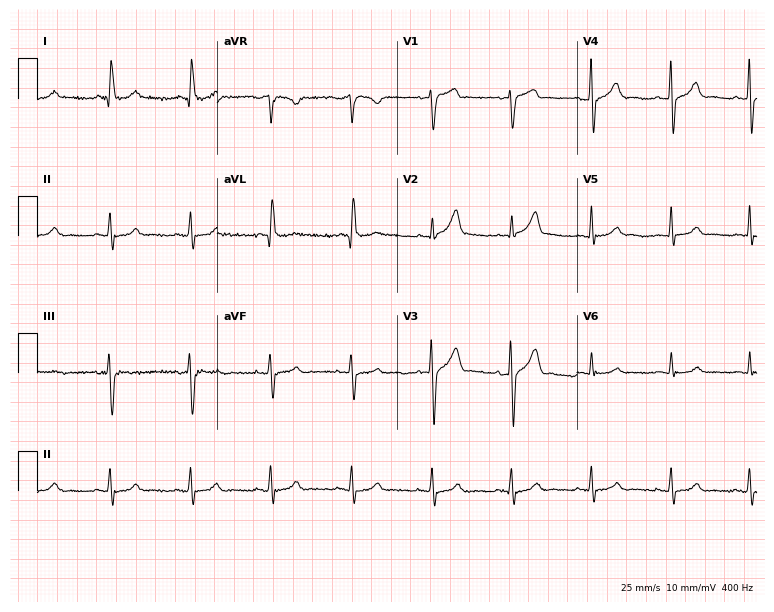
Electrocardiogram, a 50-year-old woman. Overall reading on record: normal ECG.